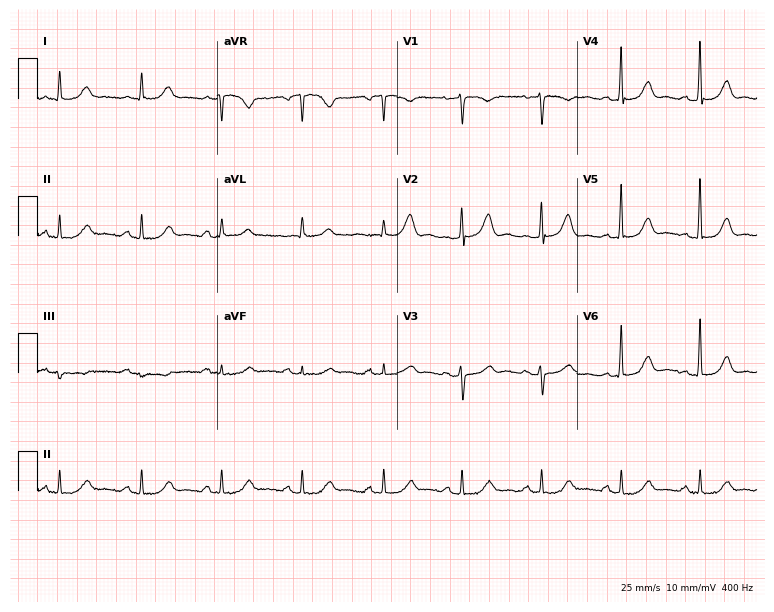
ECG — a woman, 70 years old. Labelled as a normal ECG.